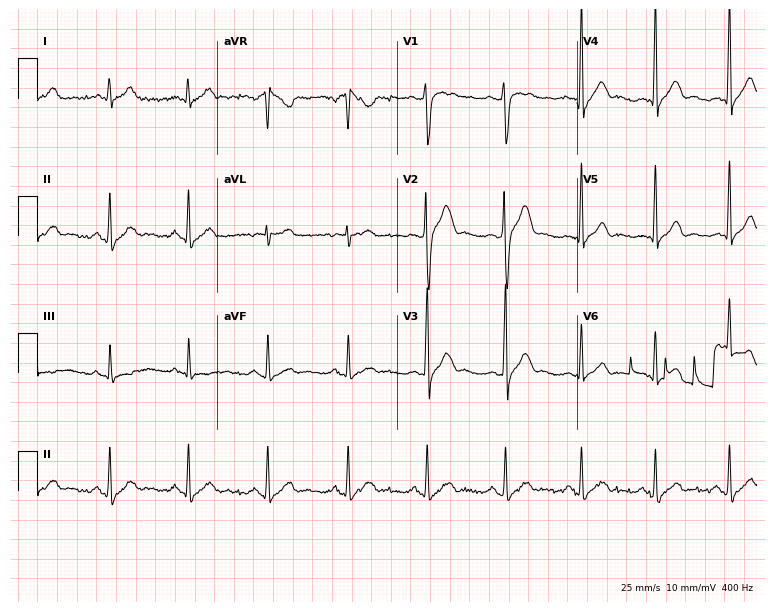
12-lead ECG from a man, 36 years old. No first-degree AV block, right bundle branch block (RBBB), left bundle branch block (LBBB), sinus bradycardia, atrial fibrillation (AF) or sinus tachycardia recorded for this tracing.